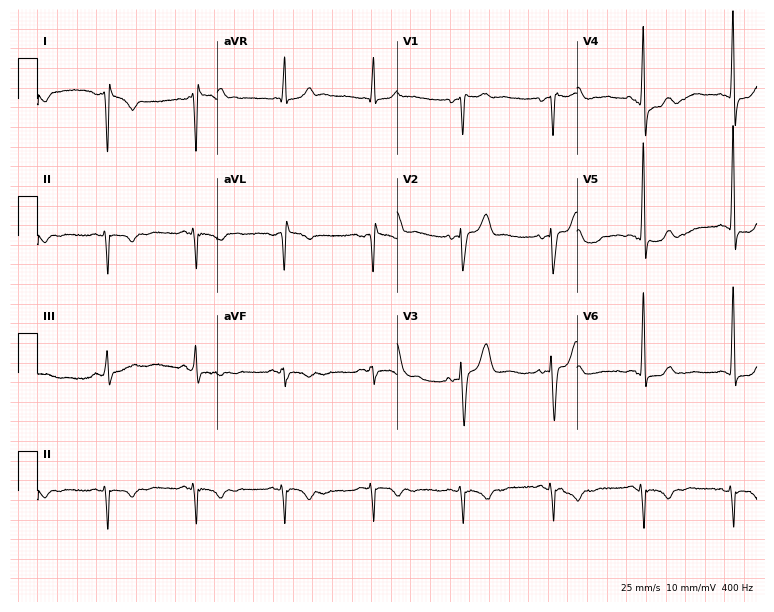
Resting 12-lead electrocardiogram (7.3-second recording at 400 Hz). Patient: a 62-year-old female. None of these six findings is recorded: first-degree AV block, right bundle branch block, left bundle branch block, sinus bradycardia, atrial fibrillation, sinus tachycardia.